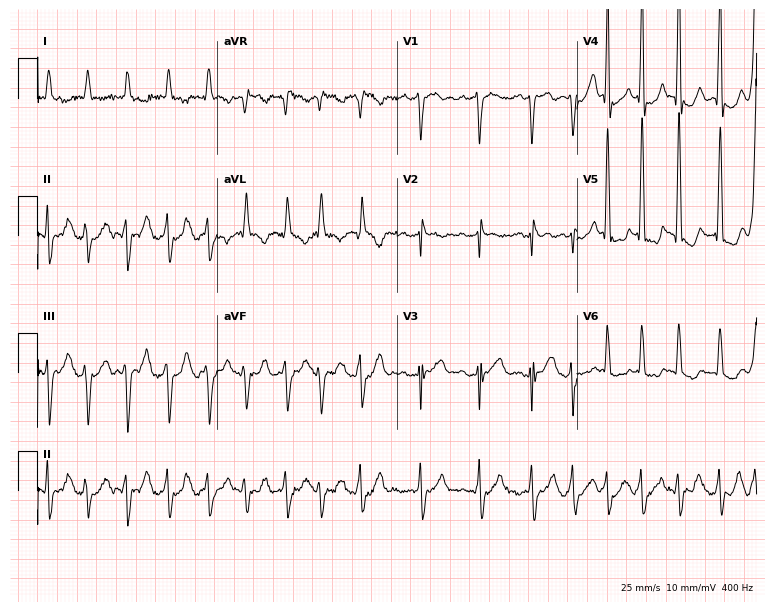
Electrocardiogram, a 34-year-old male. Interpretation includes atrial fibrillation, sinus tachycardia (a sinus rate of 100 beats per minute or more).